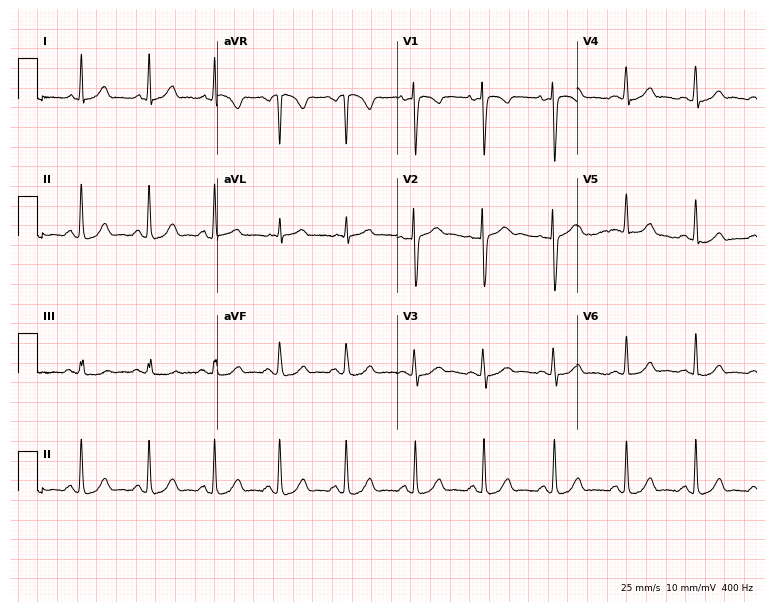
Resting 12-lead electrocardiogram (7.3-second recording at 400 Hz). Patient: a 29-year-old female. Read as a normal ECG.